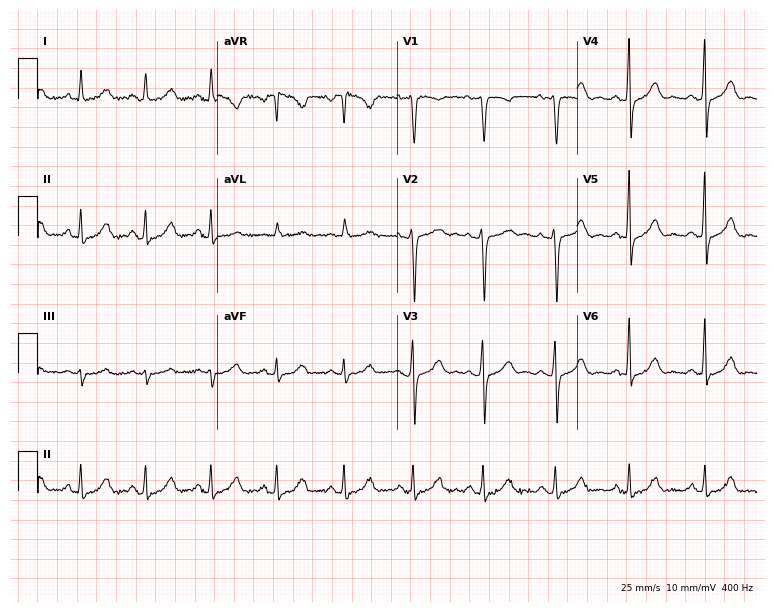
ECG (7.3-second recording at 400 Hz) — a 51-year-old female patient. Screened for six findings — first-degree AV block, right bundle branch block (RBBB), left bundle branch block (LBBB), sinus bradycardia, atrial fibrillation (AF), sinus tachycardia — none is recorded. Only these six findings were labelled.